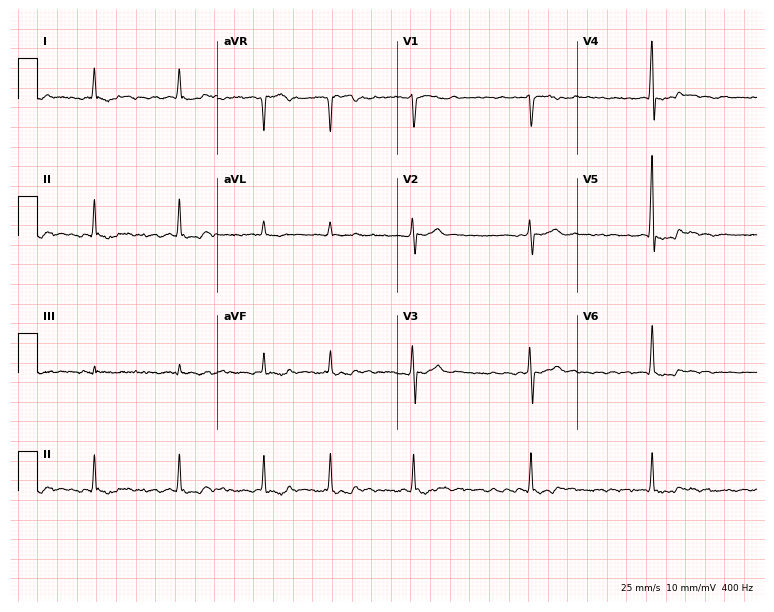
12-lead ECG from a 62-year-old male. Shows atrial fibrillation.